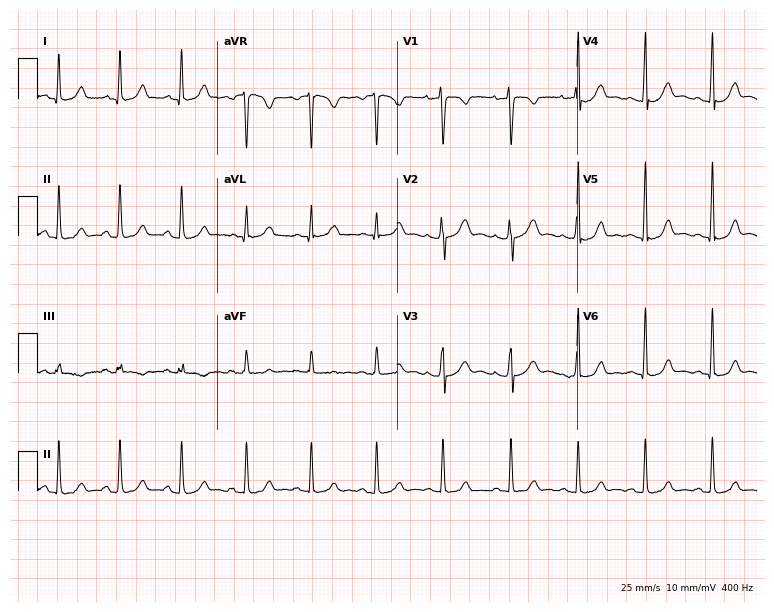
12-lead ECG from a 37-year-old woman (7.3-second recording at 400 Hz). Recorded interpretation: within normal limits.